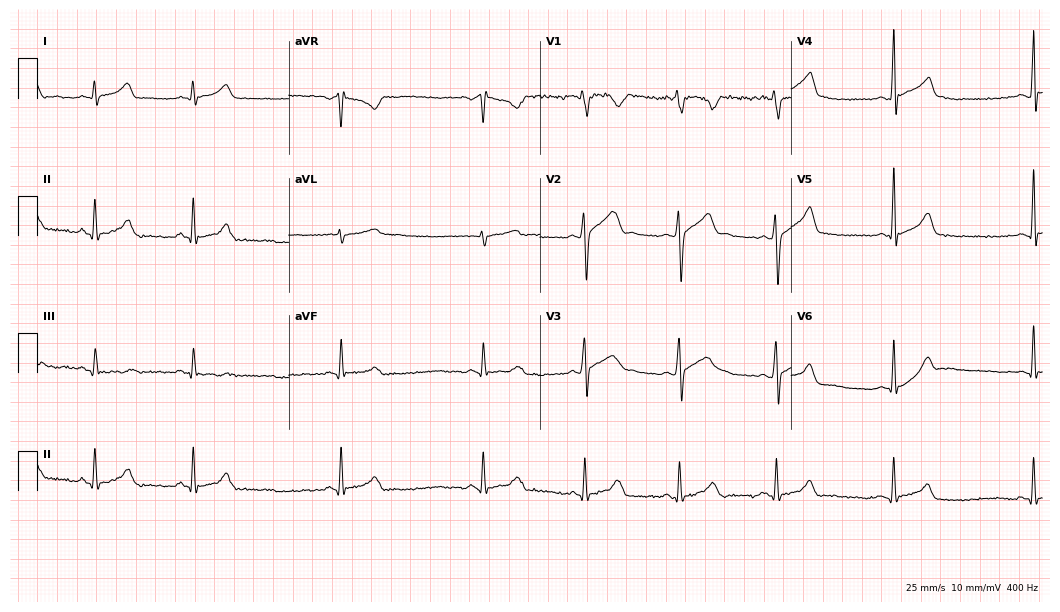
12-lead ECG from a 22-year-old man (10.2-second recording at 400 Hz). Recorded interpretation: within normal limits.